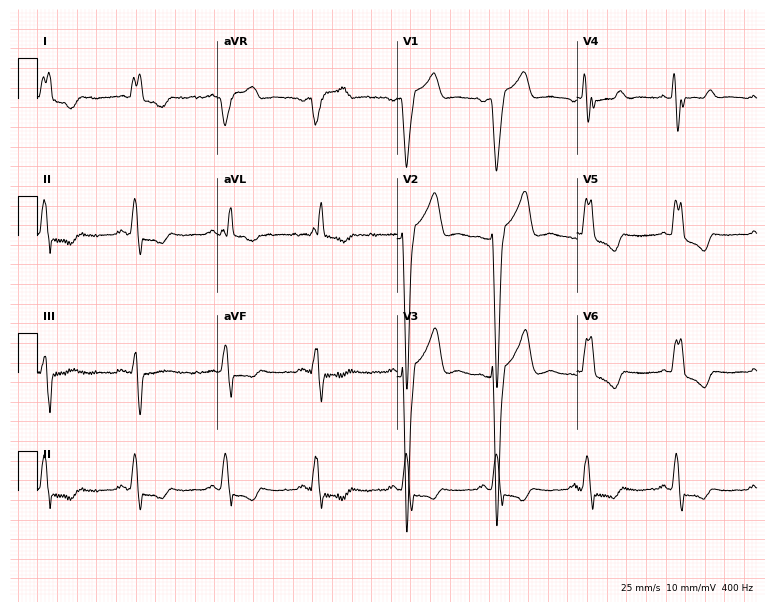
ECG (7.3-second recording at 400 Hz) — an 81-year-old female patient. Findings include left bundle branch block (LBBB).